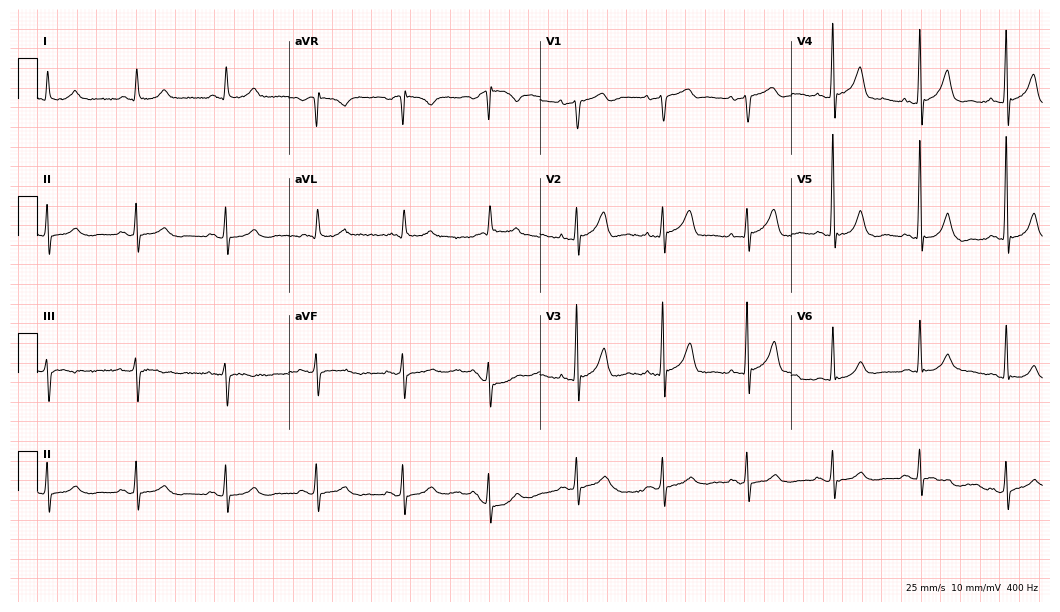
Electrocardiogram (10.2-second recording at 400 Hz), a male patient, 74 years old. Overall reading on record: normal ECG.